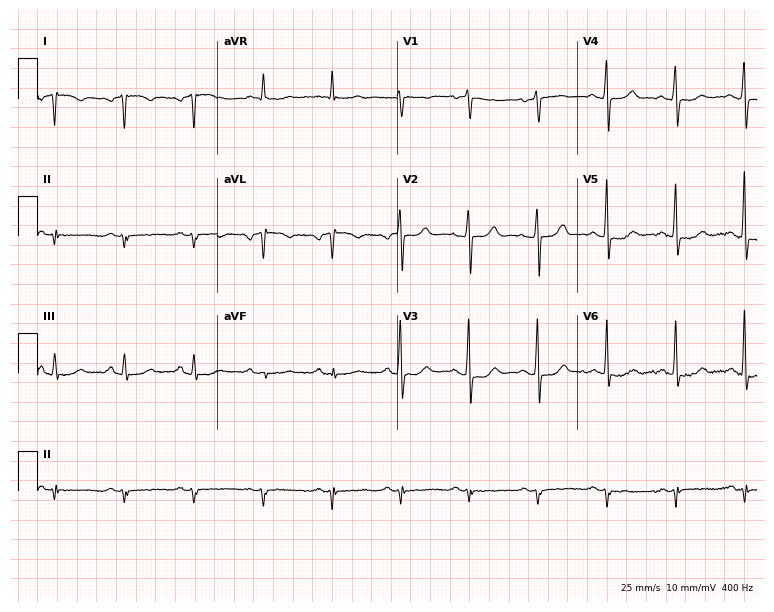
Resting 12-lead electrocardiogram (7.3-second recording at 400 Hz). Patient: a 61-year-old female. None of these six findings is recorded: first-degree AV block, right bundle branch block (RBBB), left bundle branch block (LBBB), sinus bradycardia, atrial fibrillation (AF), sinus tachycardia.